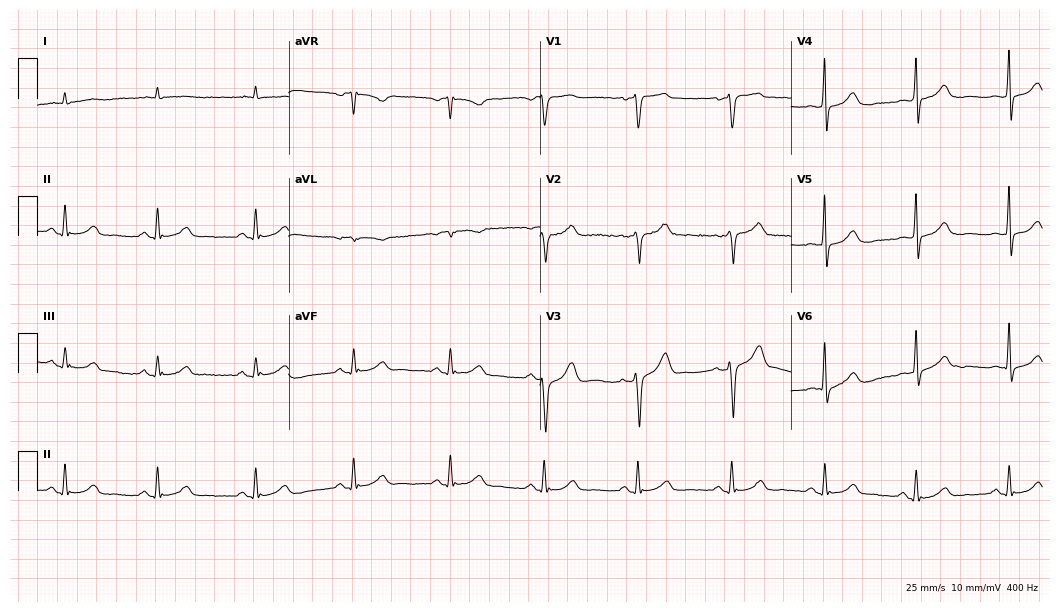
Resting 12-lead electrocardiogram (10.2-second recording at 400 Hz). Patient: a male, 62 years old. None of these six findings is recorded: first-degree AV block, right bundle branch block (RBBB), left bundle branch block (LBBB), sinus bradycardia, atrial fibrillation (AF), sinus tachycardia. Findings outside these six are not listed.